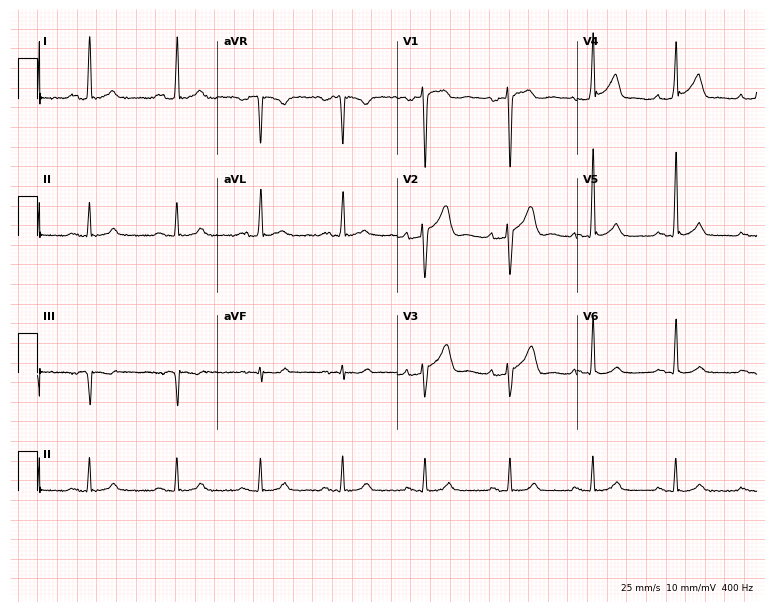
12-lead ECG (7.3-second recording at 400 Hz) from a male patient, 41 years old. Screened for six findings — first-degree AV block, right bundle branch block, left bundle branch block, sinus bradycardia, atrial fibrillation, sinus tachycardia — none is recorded.